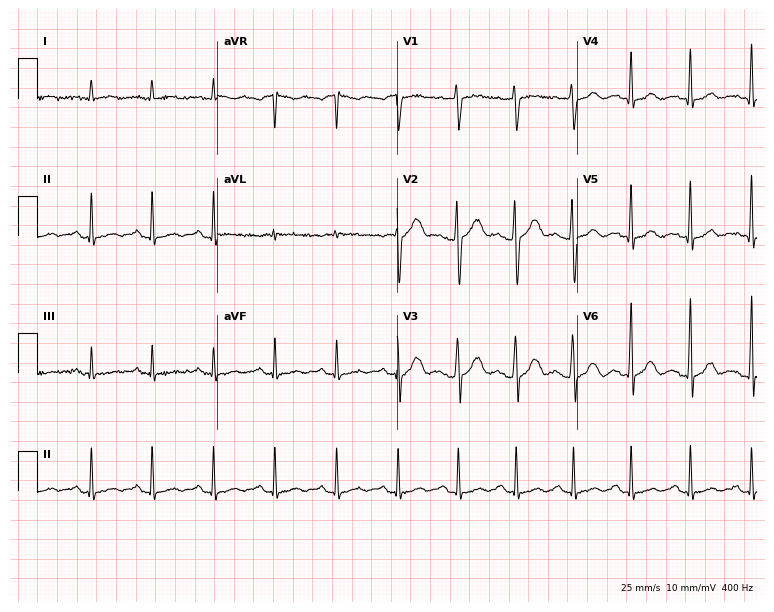
Standard 12-lead ECG recorded from a 38-year-old man. None of these six findings is recorded: first-degree AV block, right bundle branch block, left bundle branch block, sinus bradycardia, atrial fibrillation, sinus tachycardia. Only these six findings were labelled.